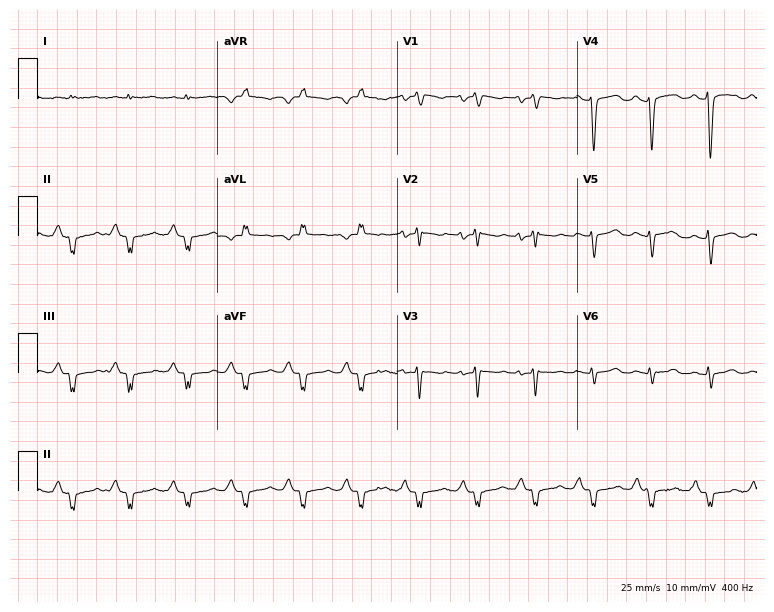
12-lead ECG from an 84-year-old male (7.3-second recording at 400 Hz). Shows sinus tachycardia (a sinus rate of 100 beats per minute or more).